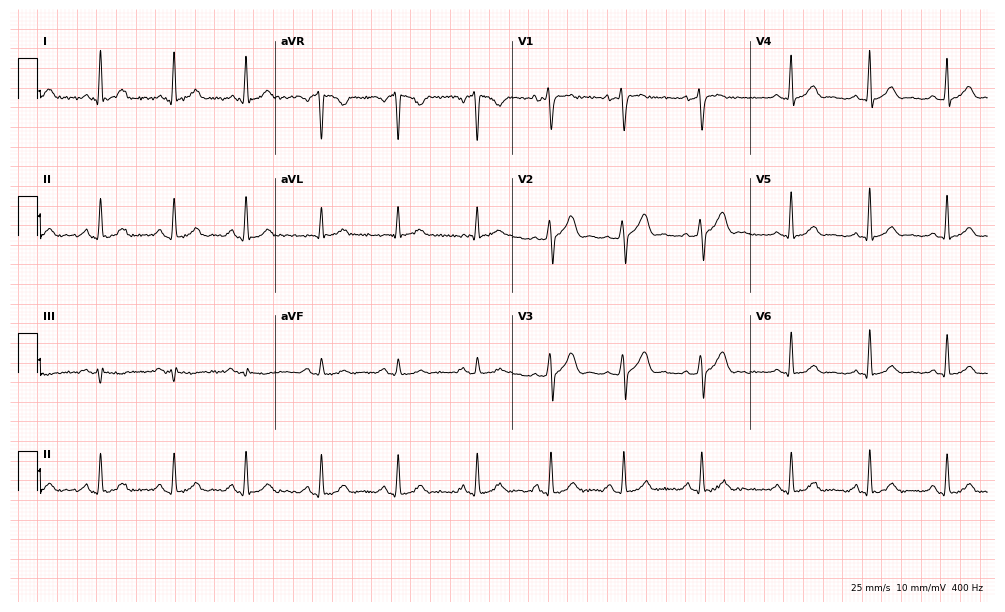
Standard 12-lead ECG recorded from a man, 47 years old. Read as a normal ECG.